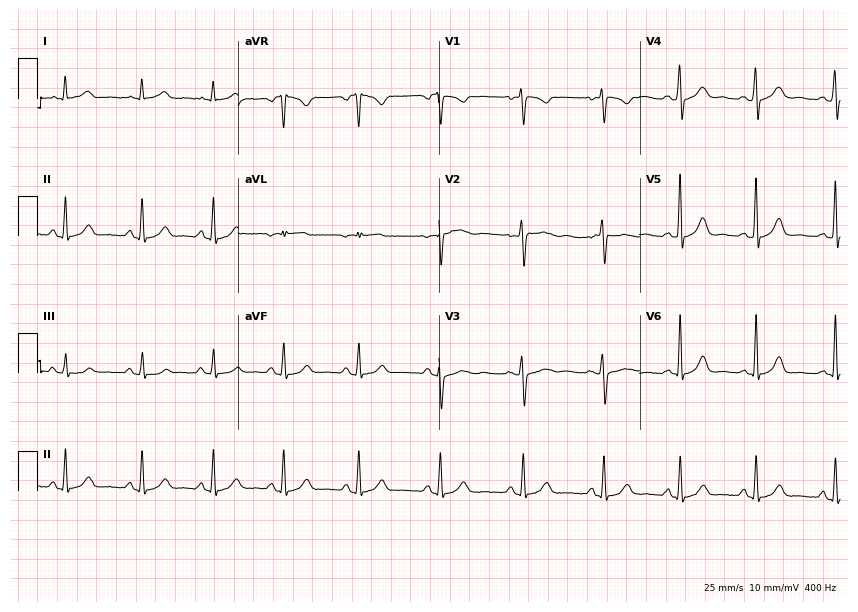
Standard 12-lead ECG recorded from a female patient, 39 years old. Read as a normal ECG.